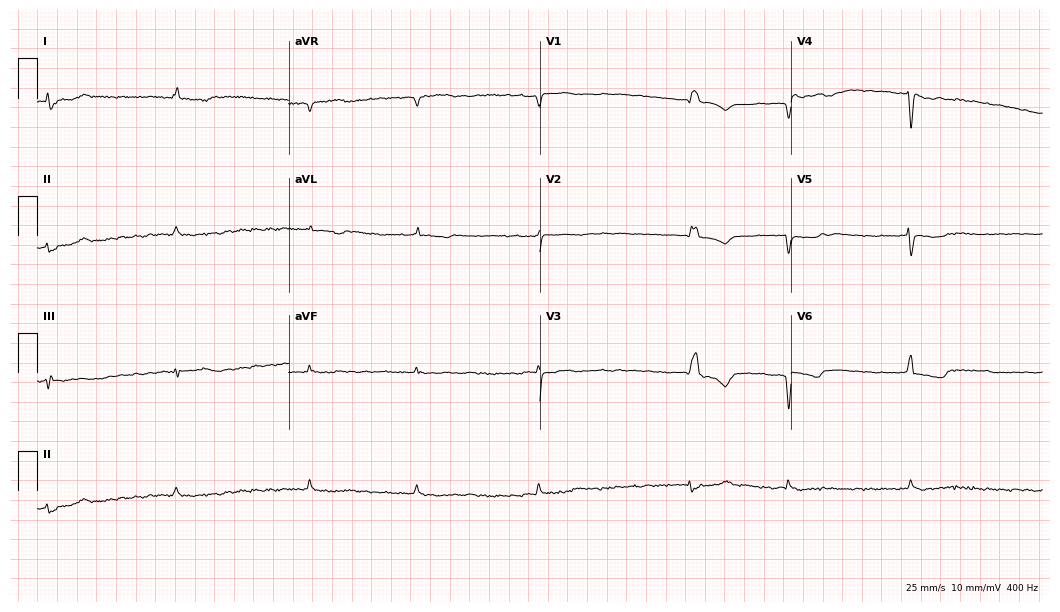
12-lead ECG from a 73-year-old woman (10.2-second recording at 400 Hz). No first-degree AV block, right bundle branch block, left bundle branch block, sinus bradycardia, atrial fibrillation or sinus tachycardia recorded for this tracing.